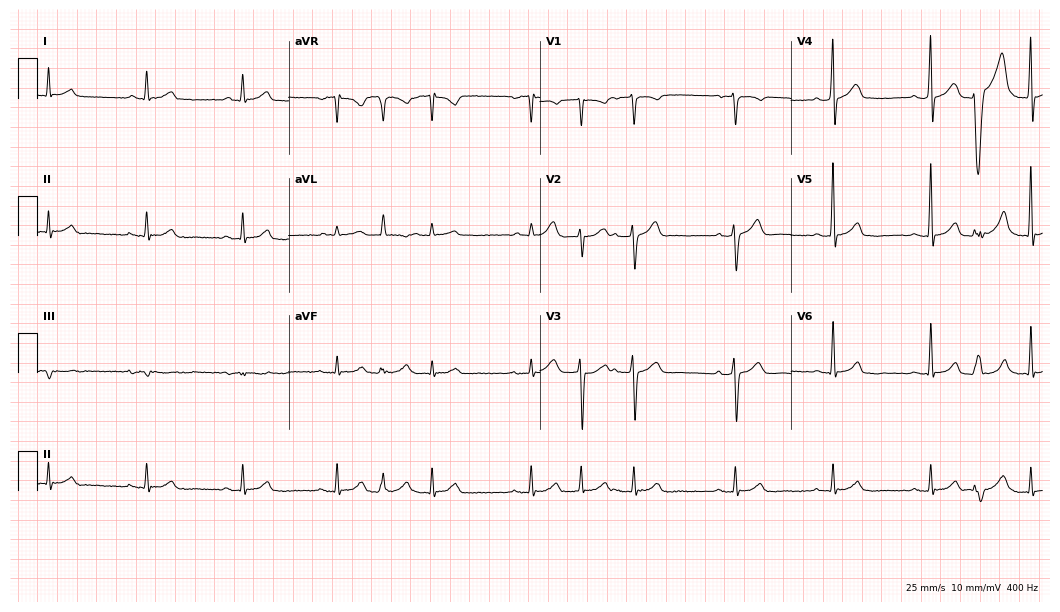
Resting 12-lead electrocardiogram (10.2-second recording at 400 Hz). Patient: a 49-year-old male. None of these six findings is recorded: first-degree AV block, right bundle branch block, left bundle branch block, sinus bradycardia, atrial fibrillation, sinus tachycardia.